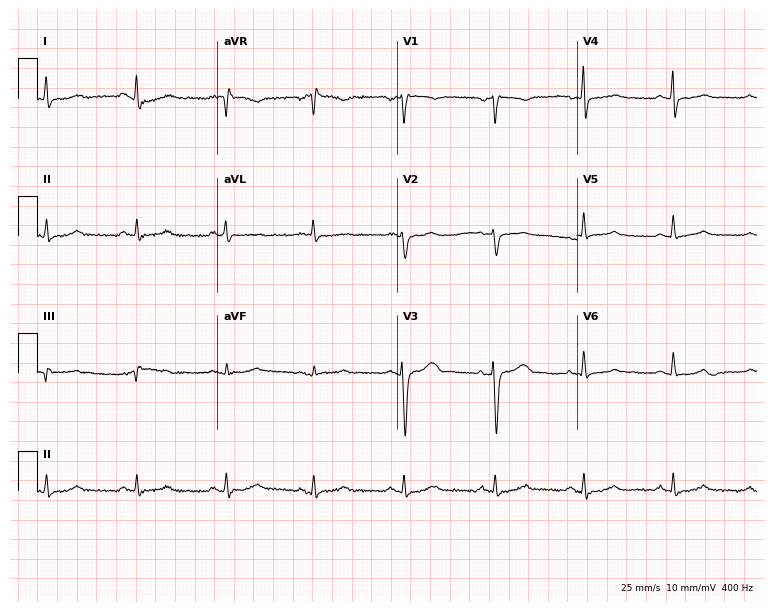
Standard 12-lead ECG recorded from a female, 56 years old. Read as a normal ECG.